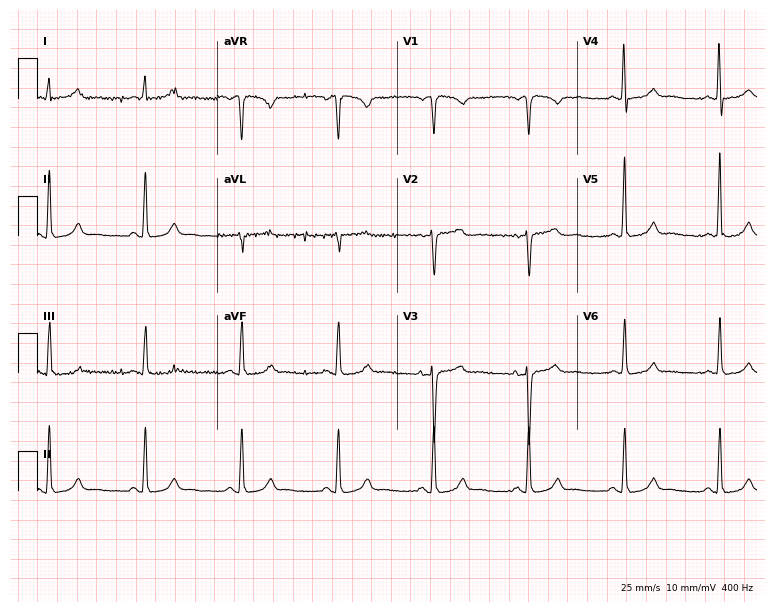
Electrocardiogram (7.3-second recording at 400 Hz), a 54-year-old female patient. Of the six screened findings (first-degree AV block, right bundle branch block, left bundle branch block, sinus bradycardia, atrial fibrillation, sinus tachycardia), none is recorded.